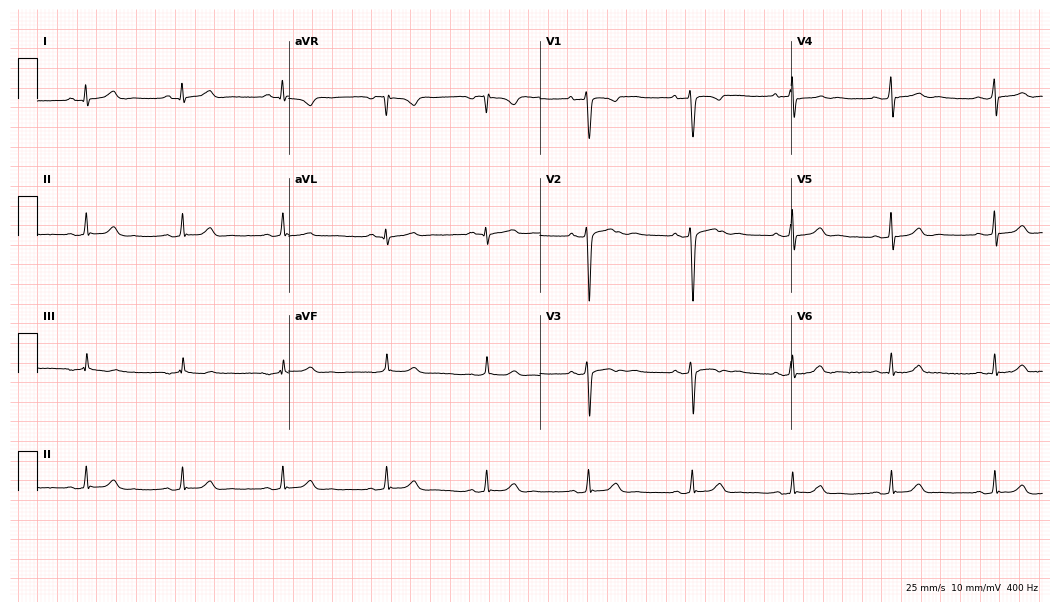
12-lead ECG from a 19-year-old female. Recorded interpretation: within normal limits.